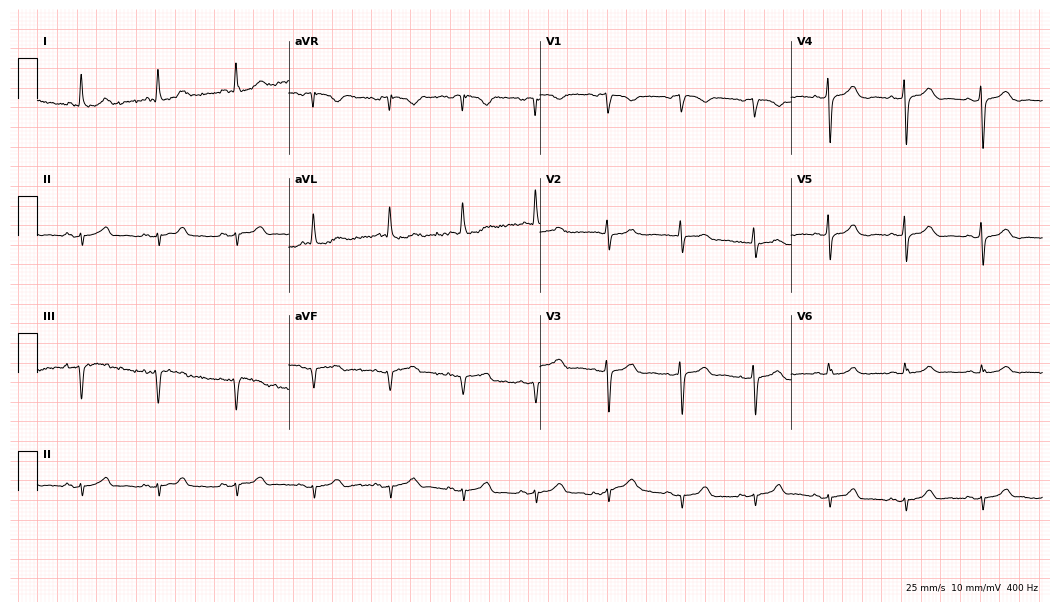
12-lead ECG (10.2-second recording at 400 Hz) from a woman, 71 years old. Screened for six findings — first-degree AV block, right bundle branch block, left bundle branch block, sinus bradycardia, atrial fibrillation, sinus tachycardia — none is recorded. Findings outside these six are not listed.